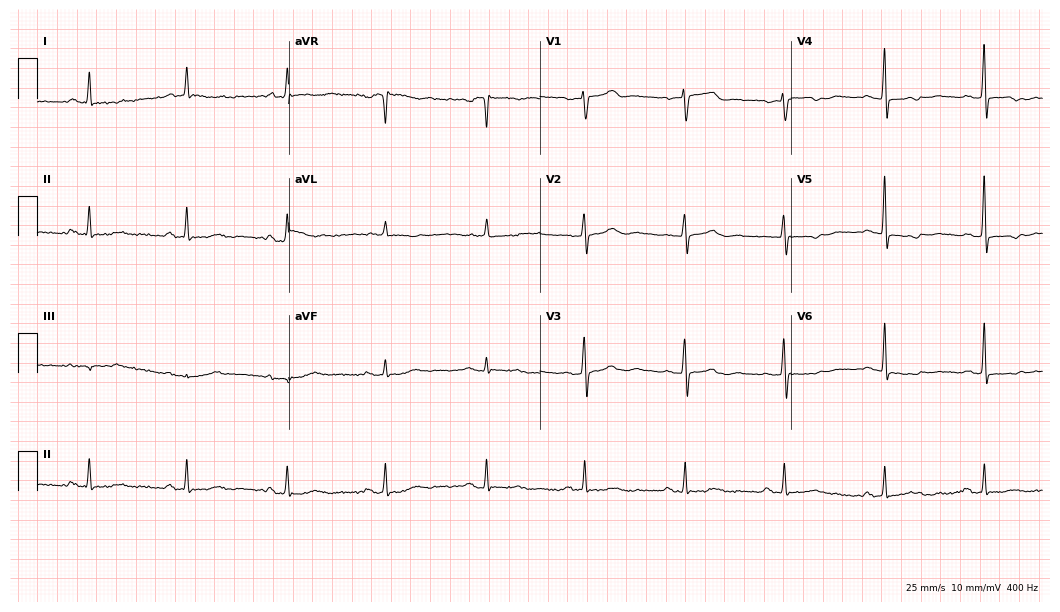
12-lead ECG from a woman, 65 years old (10.2-second recording at 400 Hz). No first-degree AV block, right bundle branch block, left bundle branch block, sinus bradycardia, atrial fibrillation or sinus tachycardia recorded for this tracing. Only these six findings were labelled.